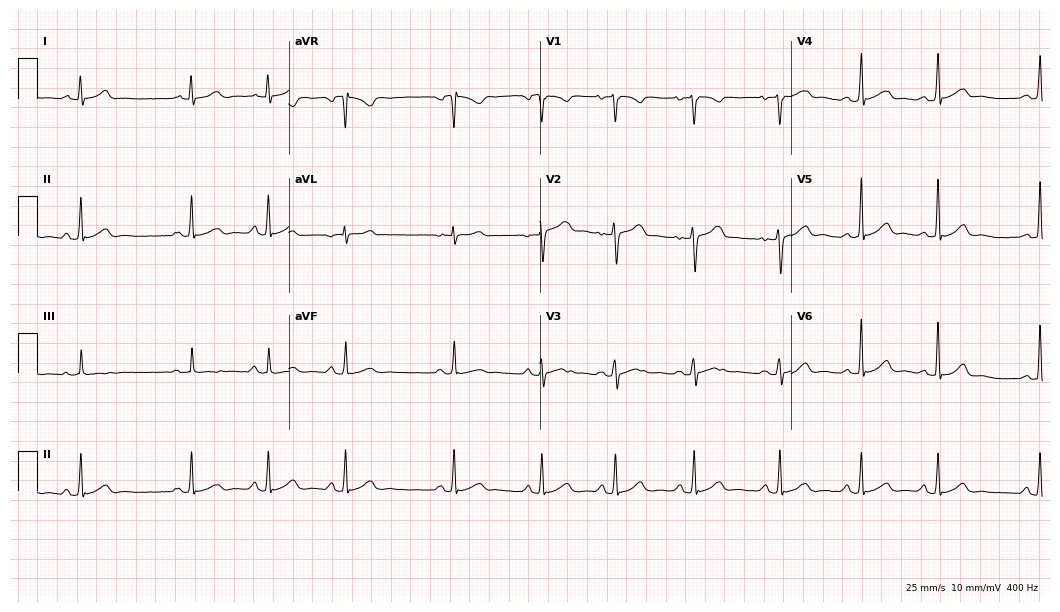
ECG (10.2-second recording at 400 Hz) — a 25-year-old woman. Labelled as a normal ECG.